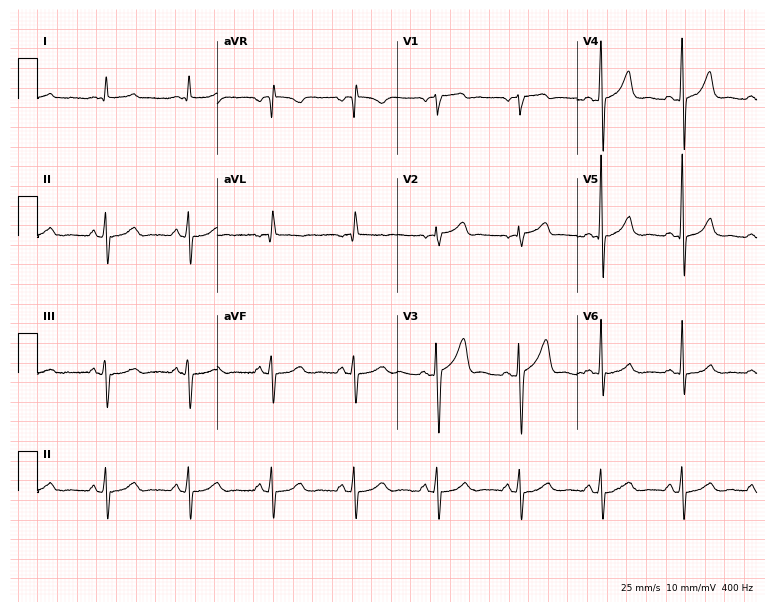
Electrocardiogram (7.3-second recording at 400 Hz), a female patient, 70 years old. Of the six screened findings (first-degree AV block, right bundle branch block, left bundle branch block, sinus bradycardia, atrial fibrillation, sinus tachycardia), none is recorded.